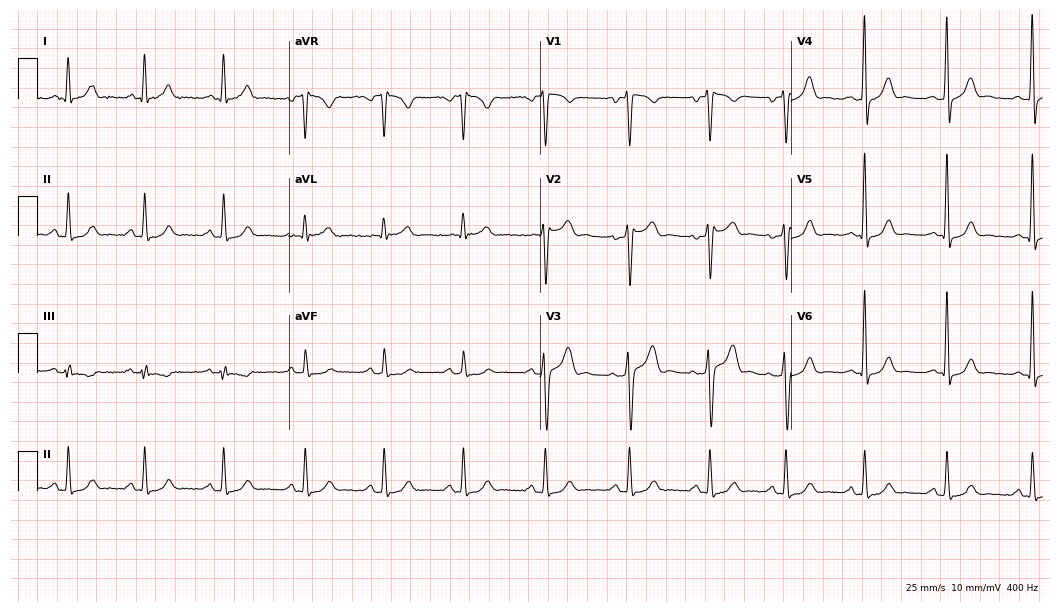
12-lead ECG from a 39-year-old male. No first-degree AV block, right bundle branch block, left bundle branch block, sinus bradycardia, atrial fibrillation or sinus tachycardia recorded for this tracing.